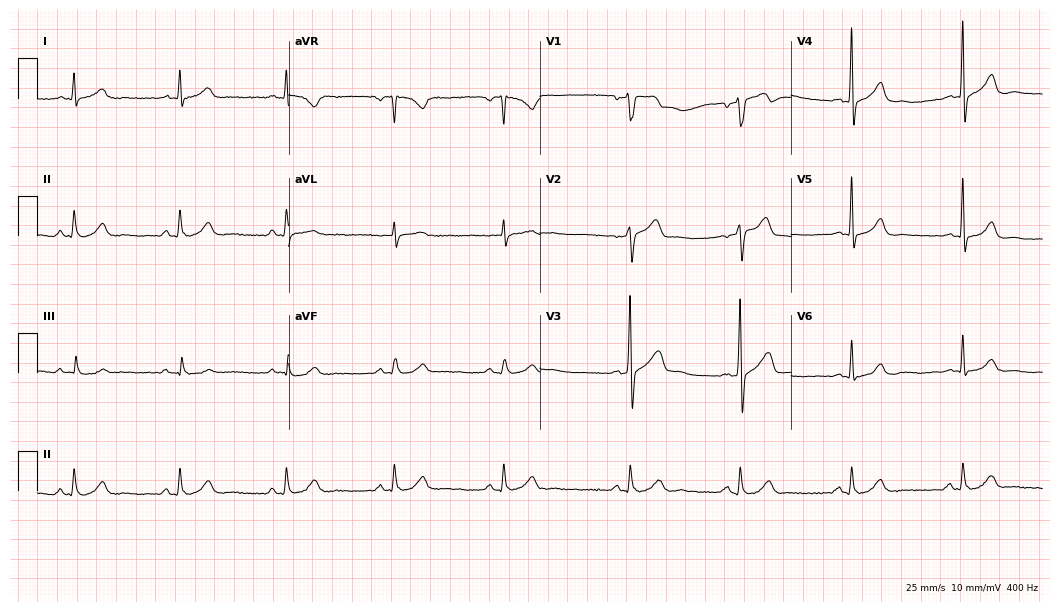
ECG (10.2-second recording at 400 Hz) — a male, 48 years old. Labelled as a normal ECG.